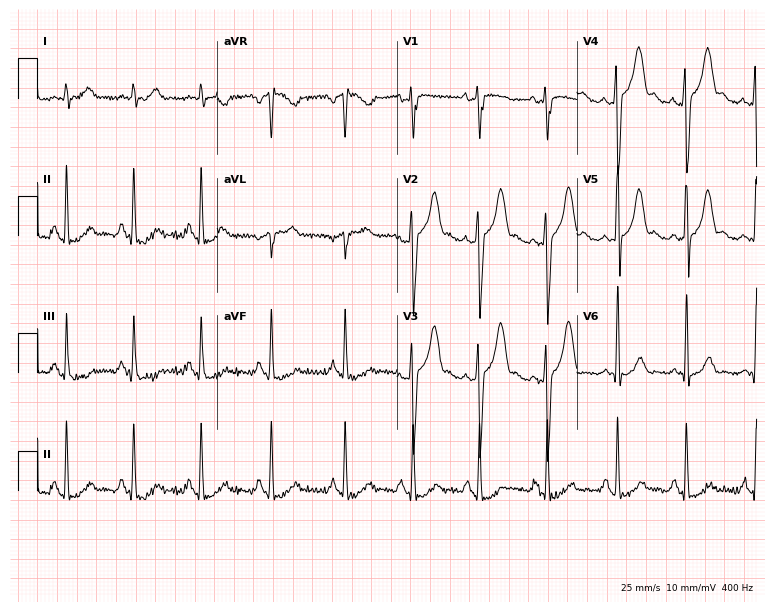
12-lead ECG (7.3-second recording at 400 Hz) from a 32-year-old male patient. Screened for six findings — first-degree AV block, right bundle branch block, left bundle branch block, sinus bradycardia, atrial fibrillation, sinus tachycardia — none is recorded.